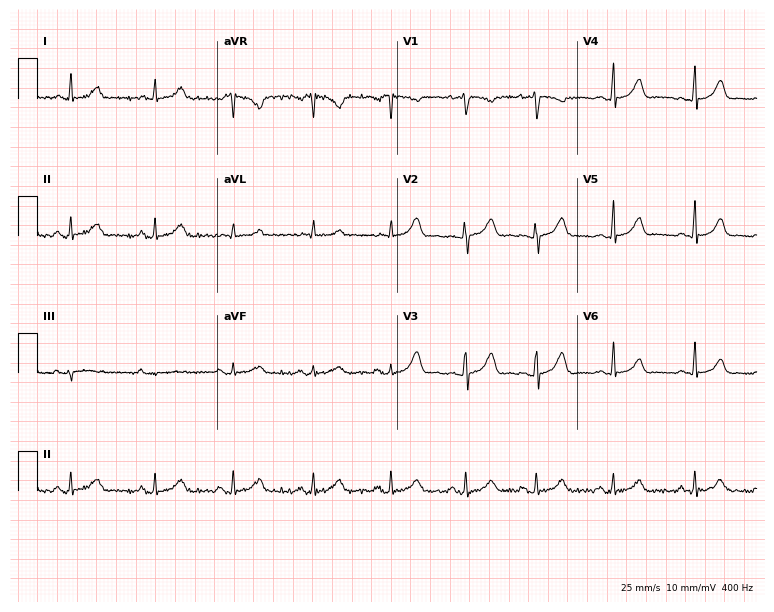
Electrocardiogram, a 20-year-old female. Overall reading on record: normal ECG.